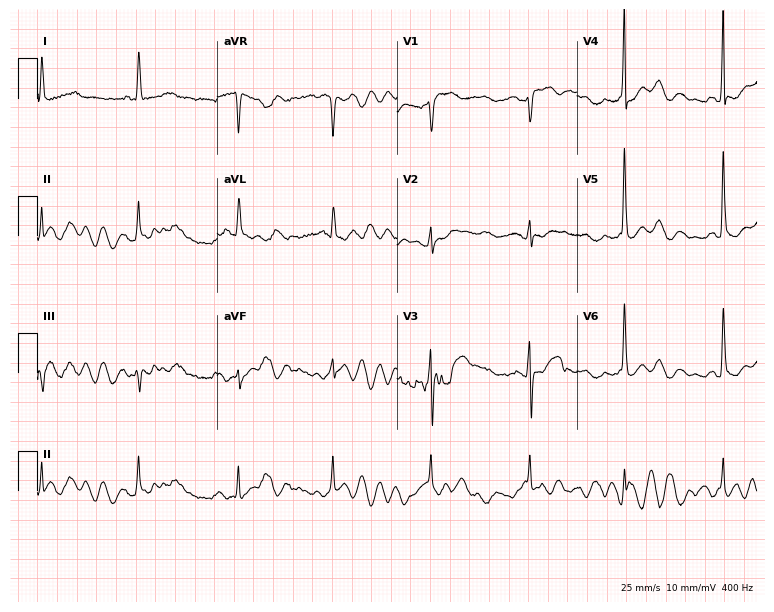
12-lead ECG from a woman, 72 years old. Screened for six findings — first-degree AV block, right bundle branch block, left bundle branch block, sinus bradycardia, atrial fibrillation, sinus tachycardia — none is recorded. Only these six findings were labelled.